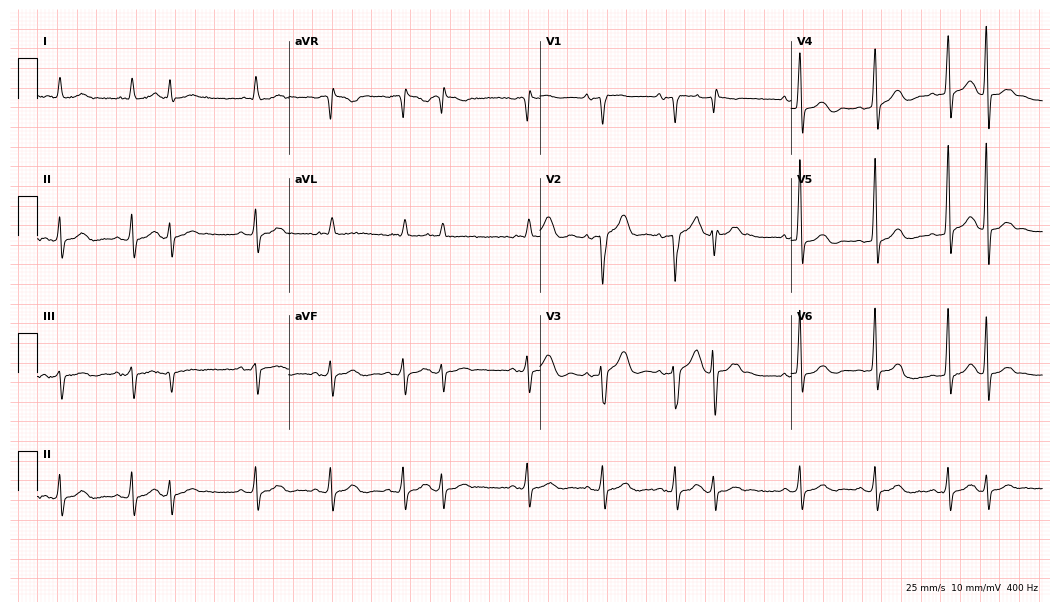
Electrocardiogram (10.2-second recording at 400 Hz), an 85-year-old female patient. Of the six screened findings (first-degree AV block, right bundle branch block, left bundle branch block, sinus bradycardia, atrial fibrillation, sinus tachycardia), none is recorded. Only these six findings were labelled.